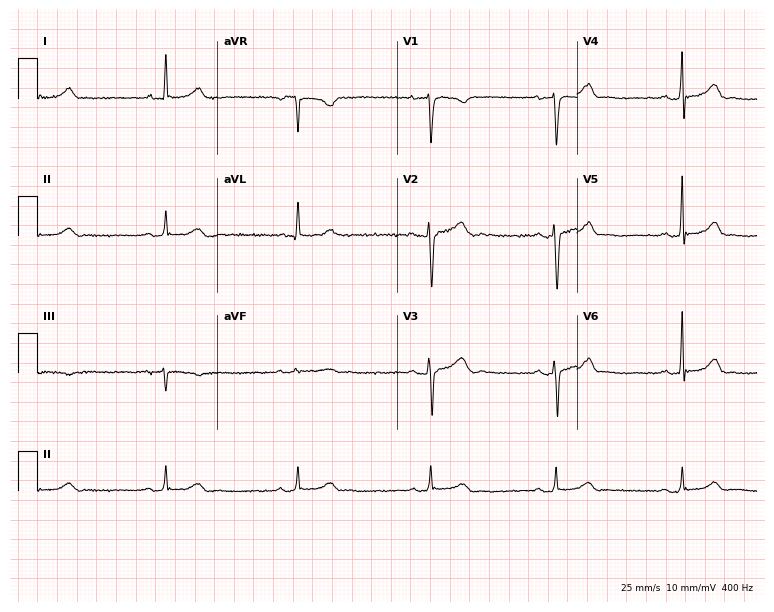
ECG — a 32-year-old male. Findings include sinus bradycardia (a sinus rate of 50 beats per minute or less).